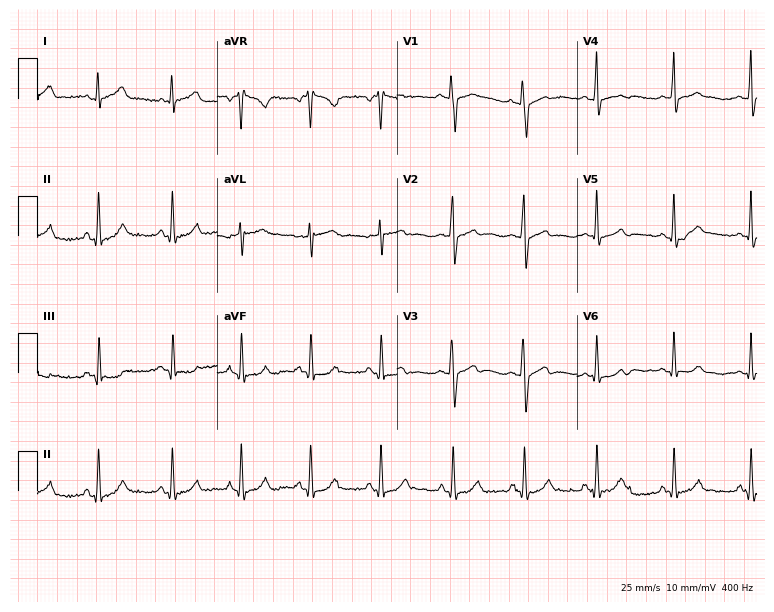
12-lead ECG from a 20-year-old man. No first-degree AV block, right bundle branch block, left bundle branch block, sinus bradycardia, atrial fibrillation or sinus tachycardia recorded for this tracing.